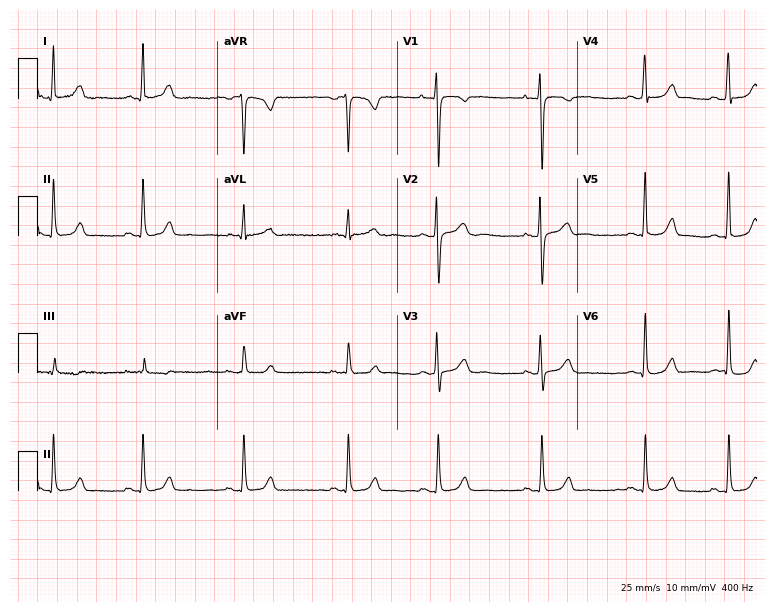
12-lead ECG (7.3-second recording at 400 Hz) from a woman, 29 years old. Screened for six findings — first-degree AV block, right bundle branch block, left bundle branch block, sinus bradycardia, atrial fibrillation, sinus tachycardia — none is recorded. Other findings, if any, are not listed.